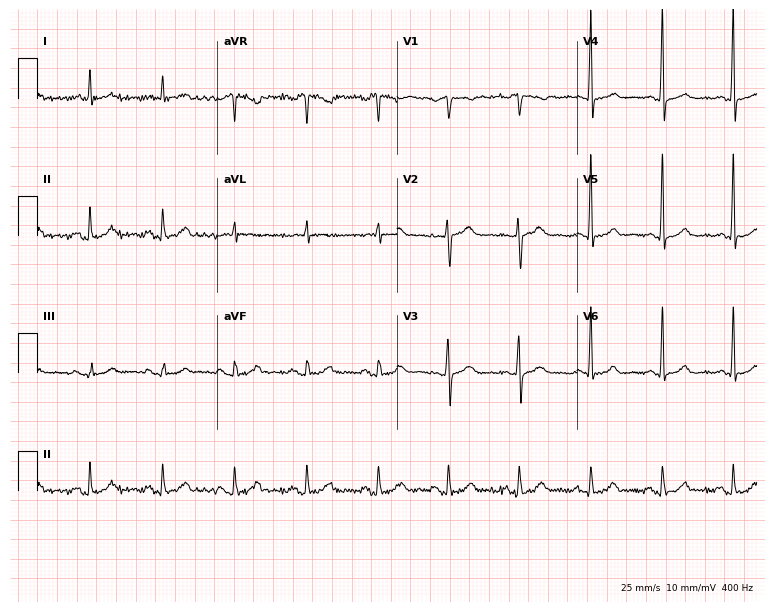
ECG (7.3-second recording at 400 Hz) — a 44-year-old male patient. Screened for six findings — first-degree AV block, right bundle branch block (RBBB), left bundle branch block (LBBB), sinus bradycardia, atrial fibrillation (AF), sinus tachycardia — none is recorded. Other findings, if any, are not listed.